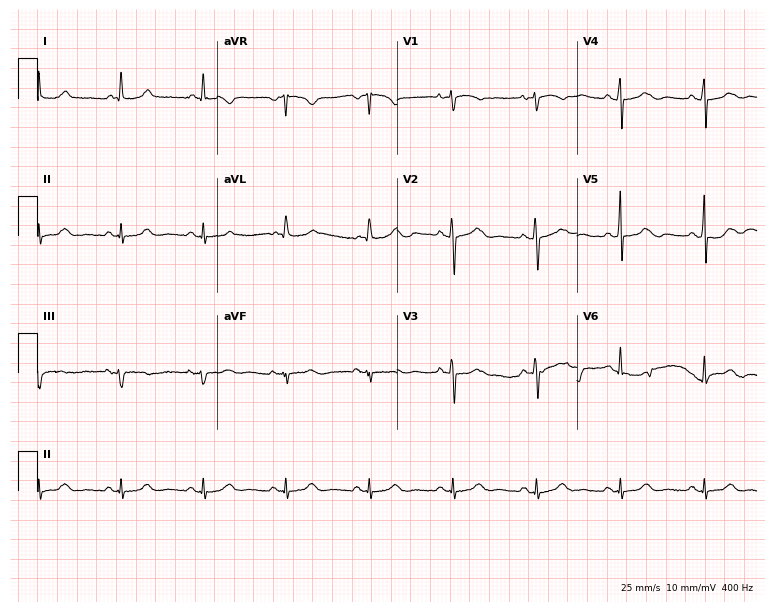
12-lead ECG (7.3-second recording at 400 Hz) from a 78-year-old female. Screened for six findings — first-degree AV block, right bundle branch block (RBBB), left bundle branch block (LBBB), sinus bradycardia, atrial fibrillation (AF), sinus tachycardia — none is recorded.